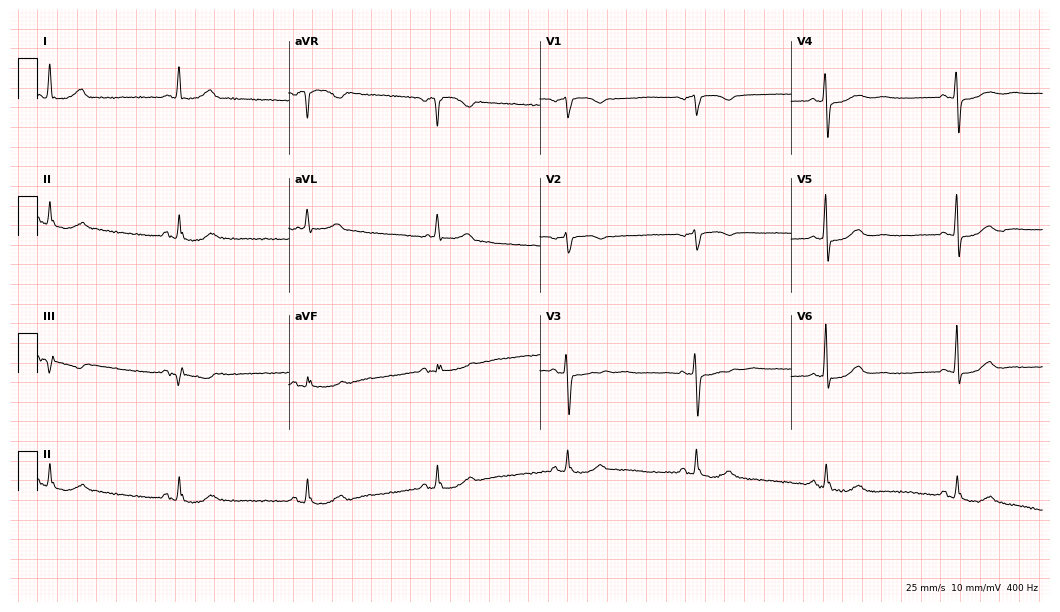
12-lead ECG from a female, 82 years old (10.2-second recording at 400 Hz). Shows sinus bradycardia (a sinus rate of 50 beats per minute or less).